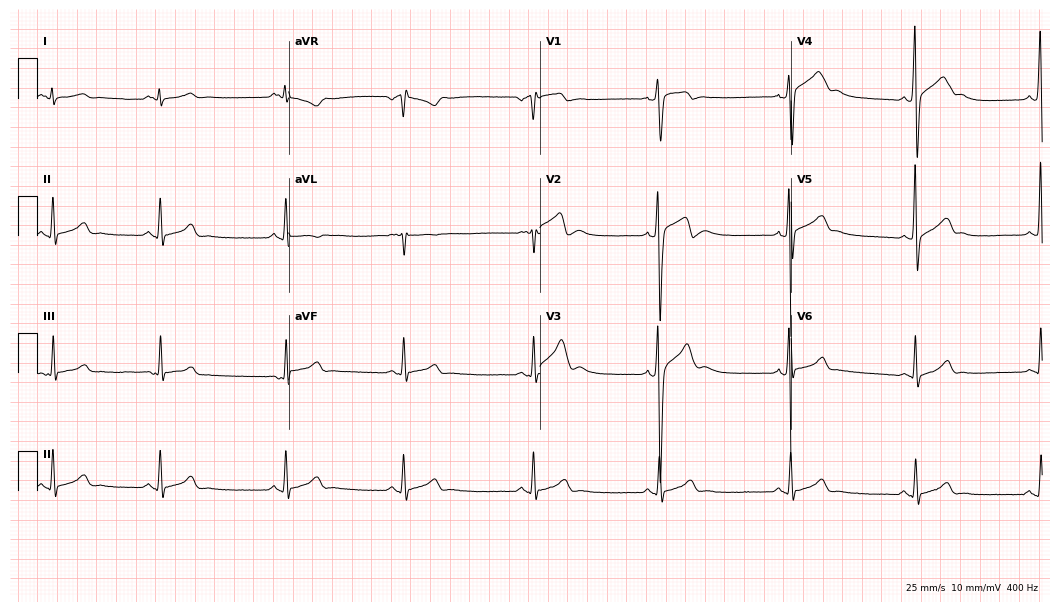
Resting 12-lead electrocardiogram. Patient: a man, 18 years old. The tracing shows sinus bradycardia (a sinus rate of 50 beats per minute or less).